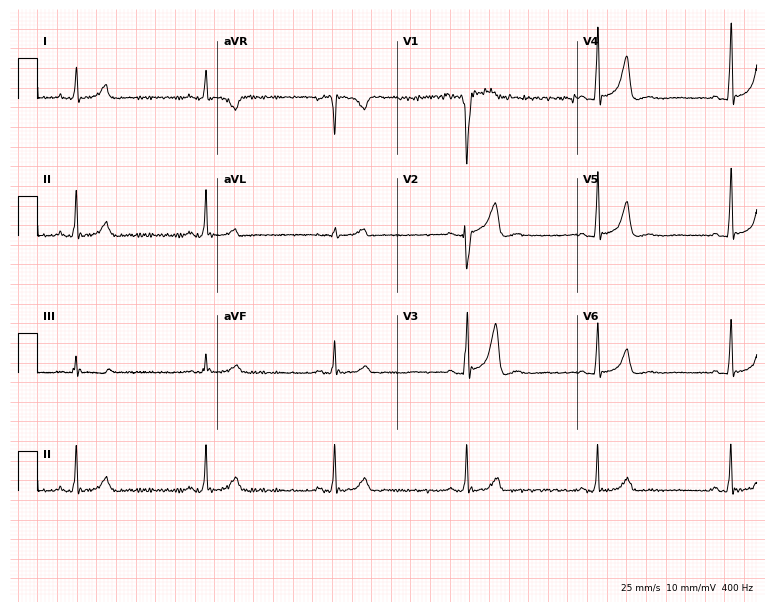
ECG — a 32-year-old male. Findings include sinus bradycardia (a sinus rate of 50 beats per minute or less).